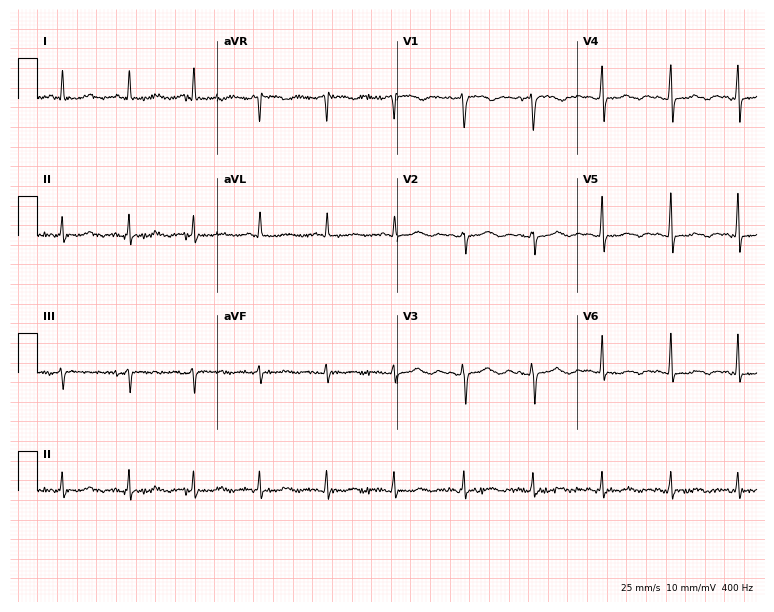
Electrocardiogram (7.3-second recording at 400 Hz), a woman, 62 years old. Of the six screened findings (first-degree AV block, right bundle branch block (RBBB), left bundle branch block (LBBB), sinus bradycardia, atrial fibrillation (AF), sinus tachycardia), none is recorded. Findings outside these six are not listed.